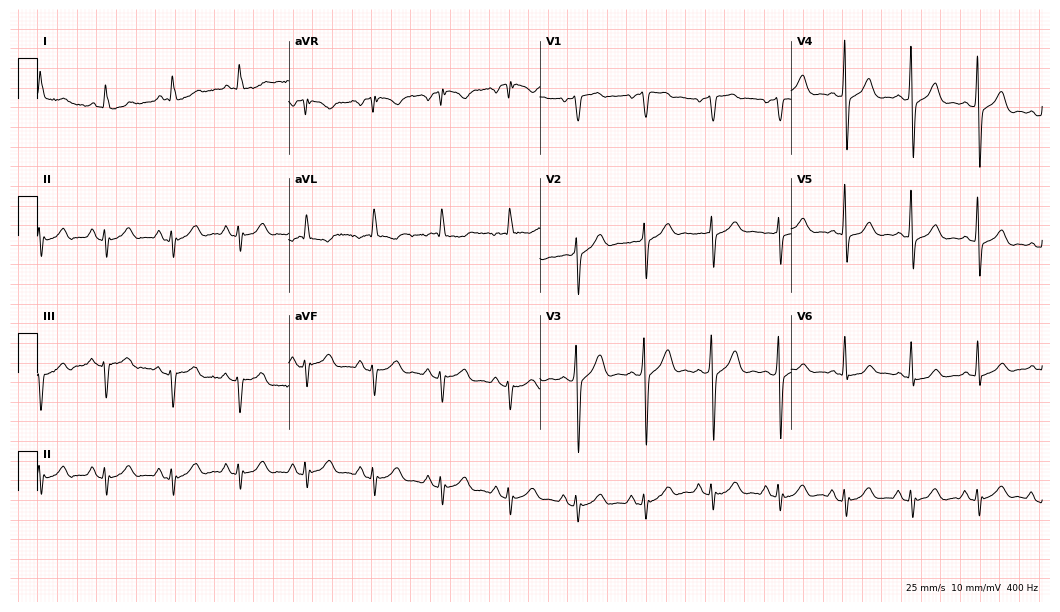
Electrocardiogram, a male, 67 years old. Of the six screened findings (first-degree AV block, right bundle branch block (RBBB), left bundle branch block (LBBB), sinus bradycardia, atrial fibrillation (AF), sinus tachycardia), none is recorded.